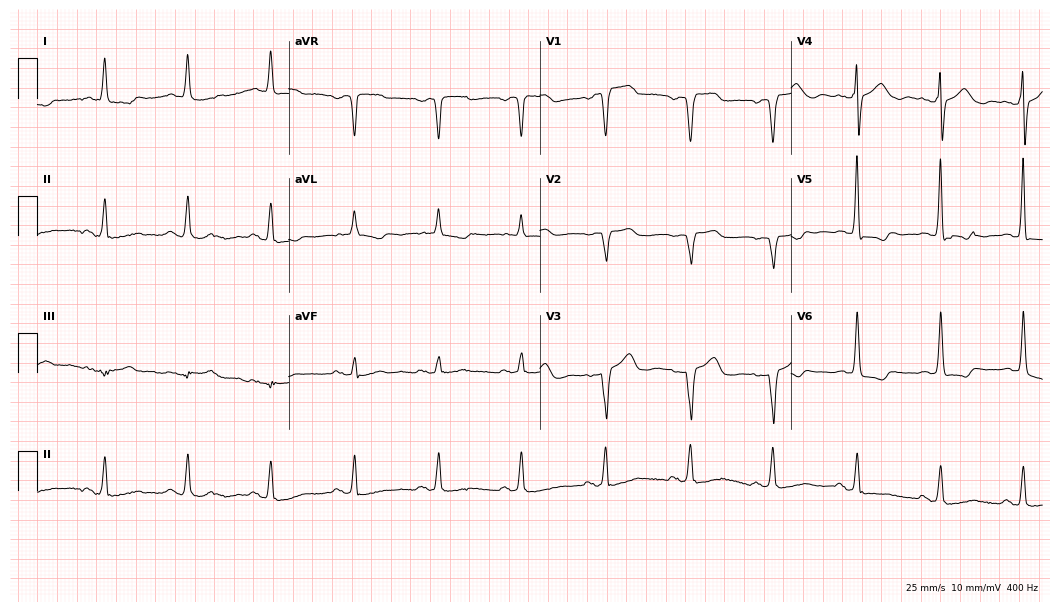
Electrocardiogram (10.2-second recording at 400 Hz), a woman, 80 years old. Of the six screened findings (first-degree AV block, right bundle branch block, left bundle branch block, sinus bradycardia, atrial fibrillation, sinus tachycardia), none is recorded. Only these six findings were labelled.